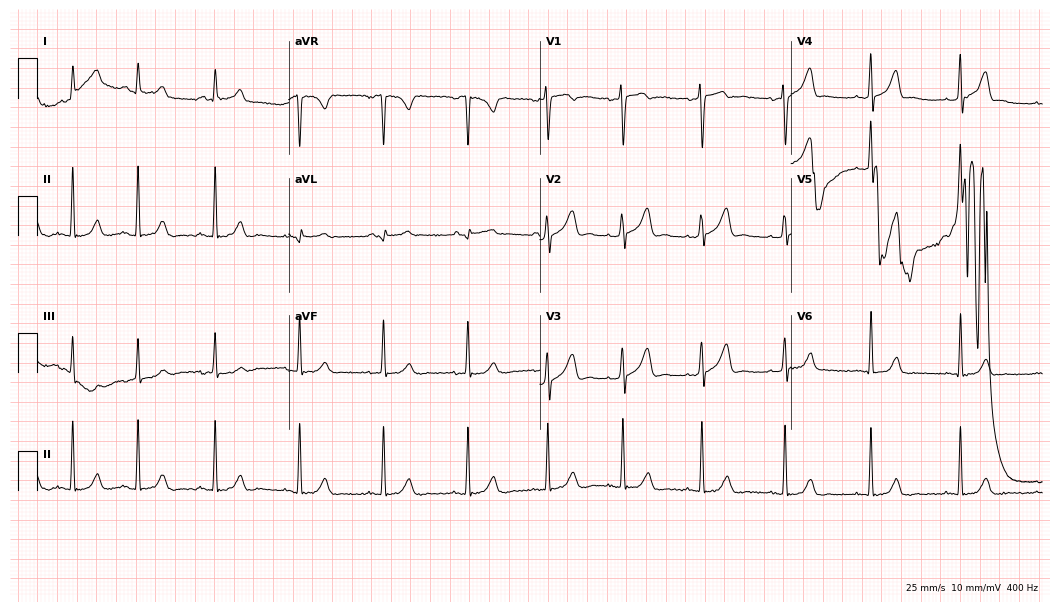
Electrocardiogram (10.2-second recording at 400 Hz), a female, 32 years old. Overall reading on record: normal ECG.